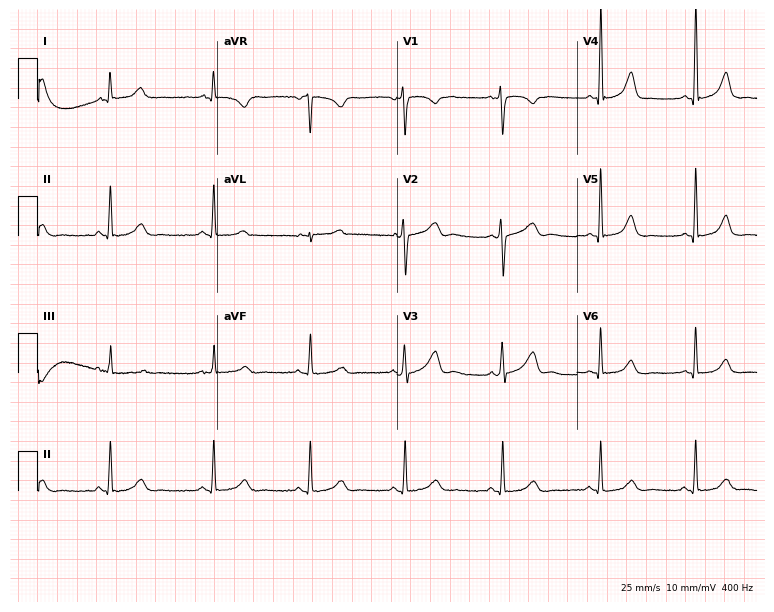
Resting 12-lead electrocardiogram. Patient: a woman, 47 years old. Read as a normal ECG.